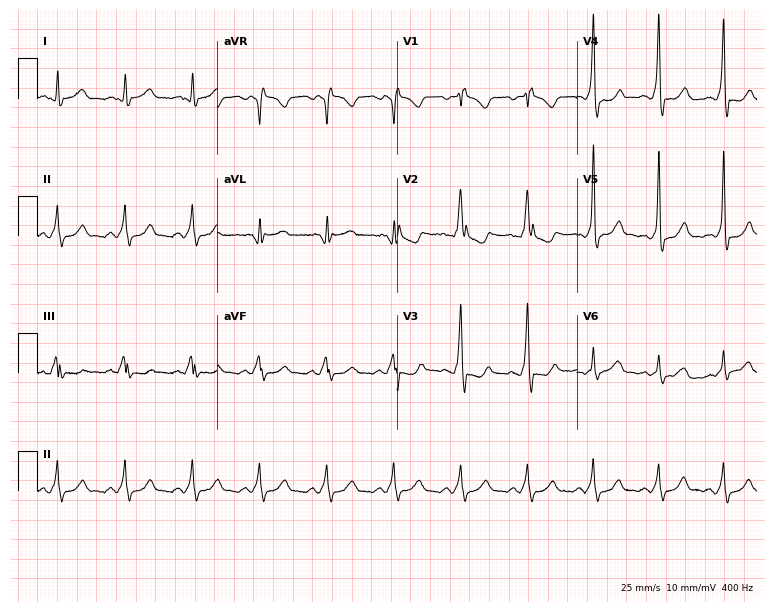
Resting 12-lead electrocardiogram. Patient: a 46-year-old male. The tracing shows right bundle branch block.